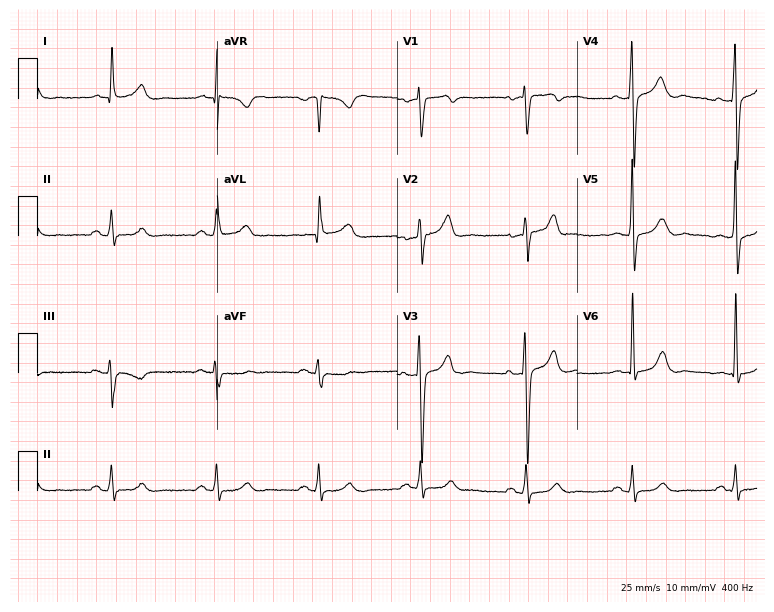
Electrocardiogram (7.3-second recording at 400 Hz), a 52-year-old male. Overall reading on record: normal ECG.